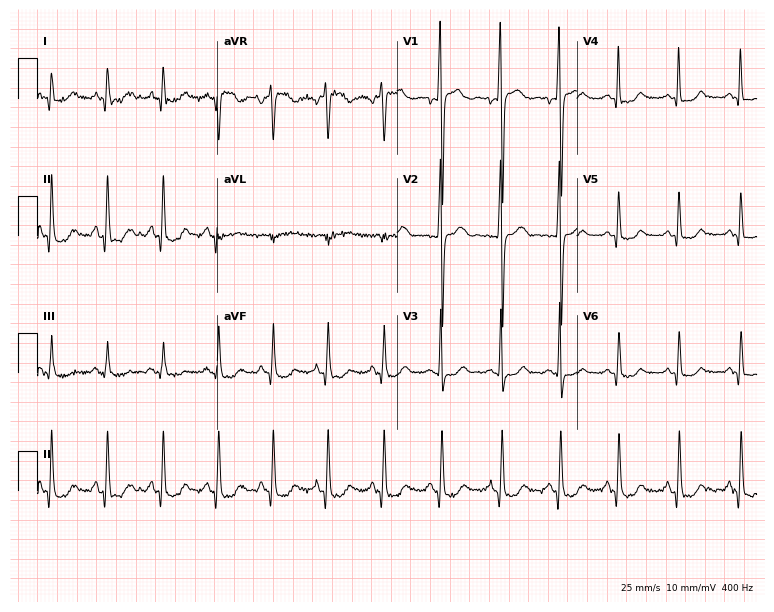
12-lead ECG from a female, 34 years old (7.3-second recording at 400 Hz). Recorded interpretation: within normal limits.